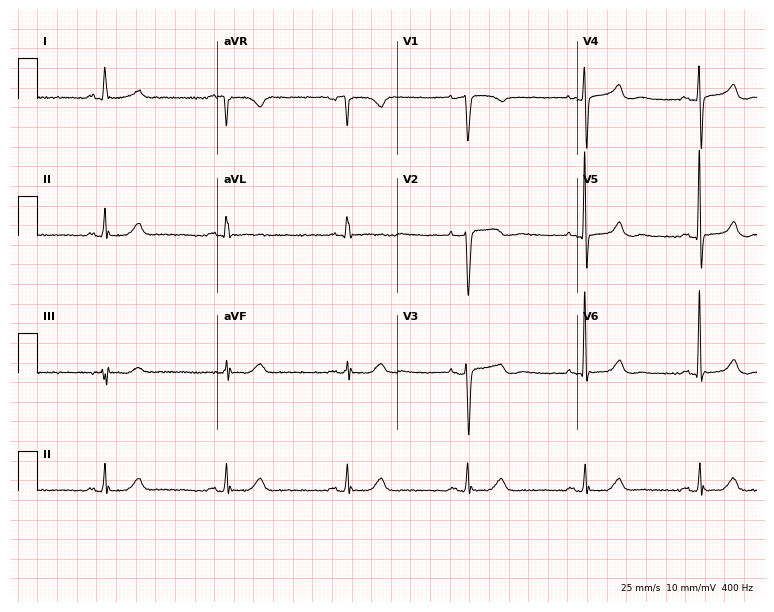
Standard 12-lead ECG recorded from a female patient, 54 years old (7.3-second recording at 400 Hz). The tracing shows sinus bradycardia (a sinus rate of 50 beats per minute or less).